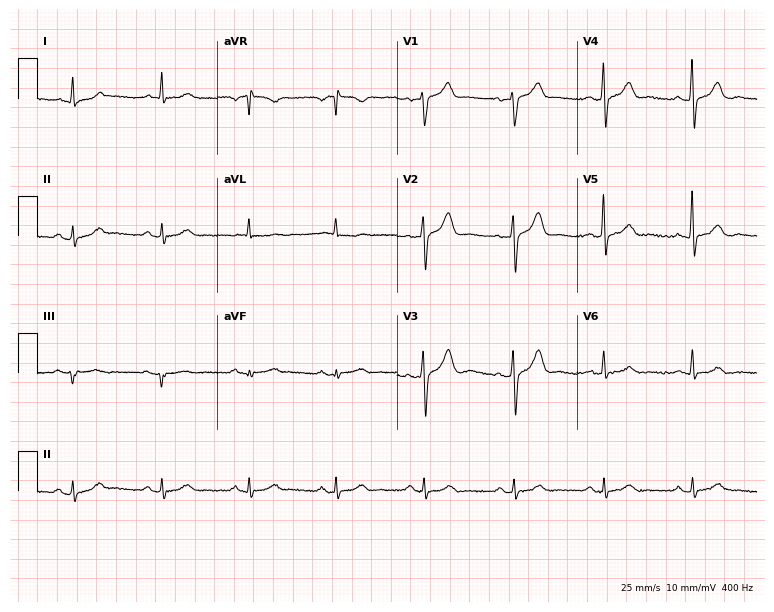
12-lead ECG from a 69-year-old male. No first-degree AV block, right bundle branch block, left bundle branch block, sinus bradycardia, atrial fibrillation or sinus tachycardia recorded for this tracing.